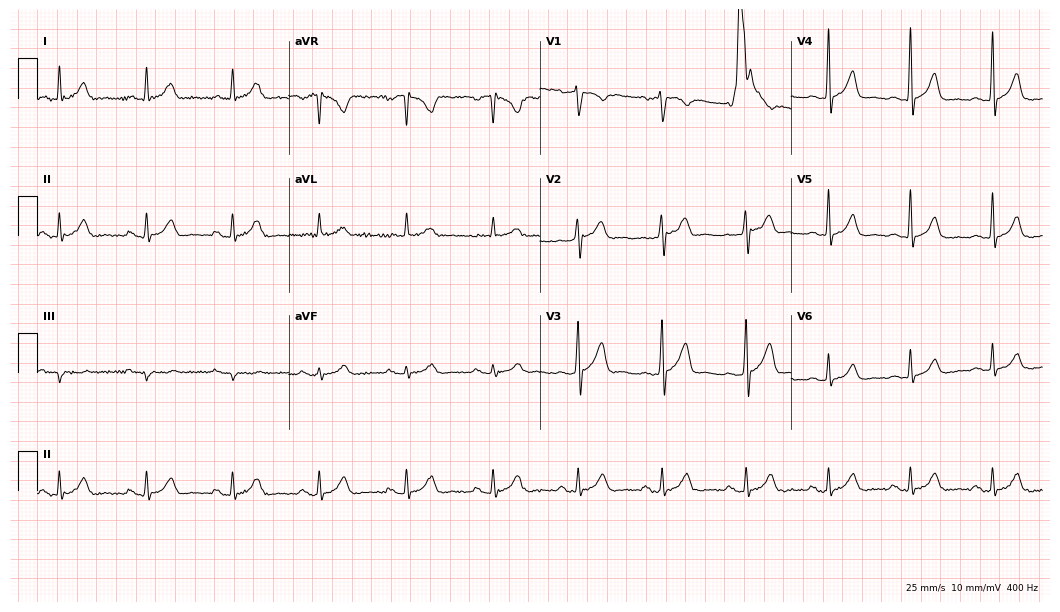
Standard 12-lead ECG recorded from a man, 51 years old (10.2-second recording at 400 Hz). Read as a normal ECG.